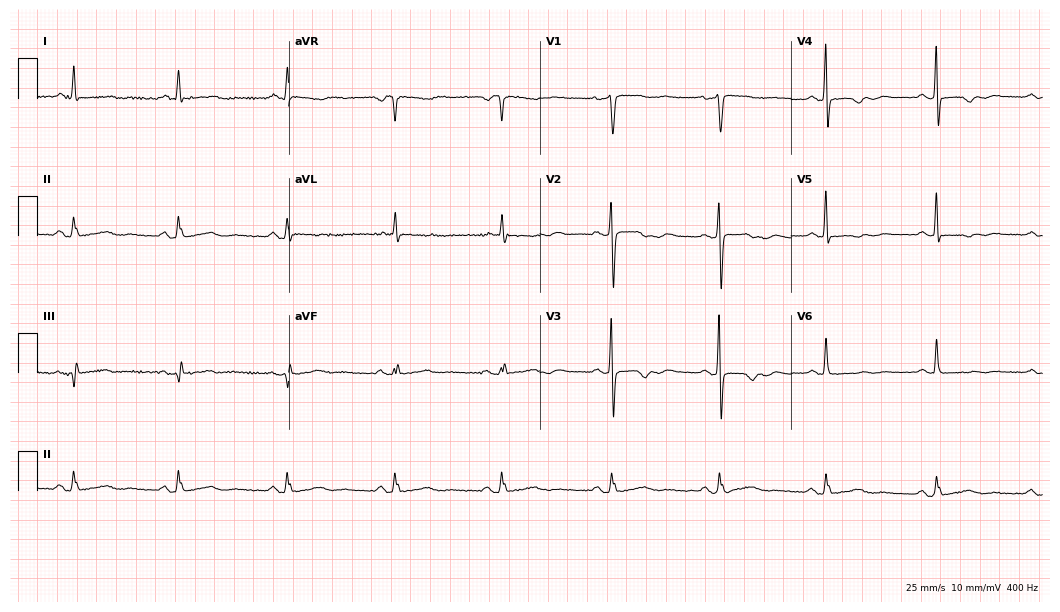
12-lead ECG from a female patient, 50 years old (10.2-second recording at 400 Hz). No first-degree AV block, right bundle branch block (RBBB), left bundle branch block (LBBB), sinus bradycardia, atrial fibrillation (AF) or sinus tachycardia recorded for this tracing. Findings outside these six are not listed.